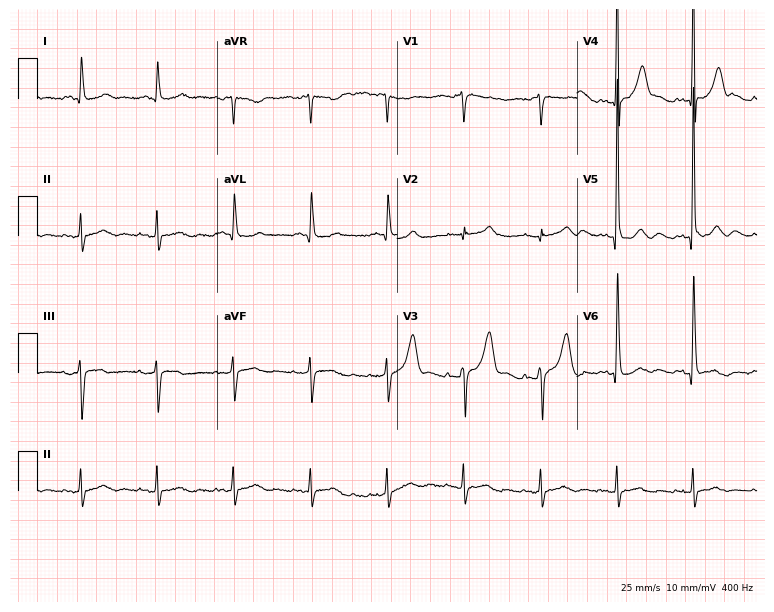
Standard 12-lead ECG recorded from a 34-year-old man (7.3-second recording at 400 Hz). None of these six findings is recorded: first-degree AV block, right bundle branch block, left bundle branch block, sinus bradycardia, atrial fibrillation, sinus tachycardia. Findings outside these six are not listed.